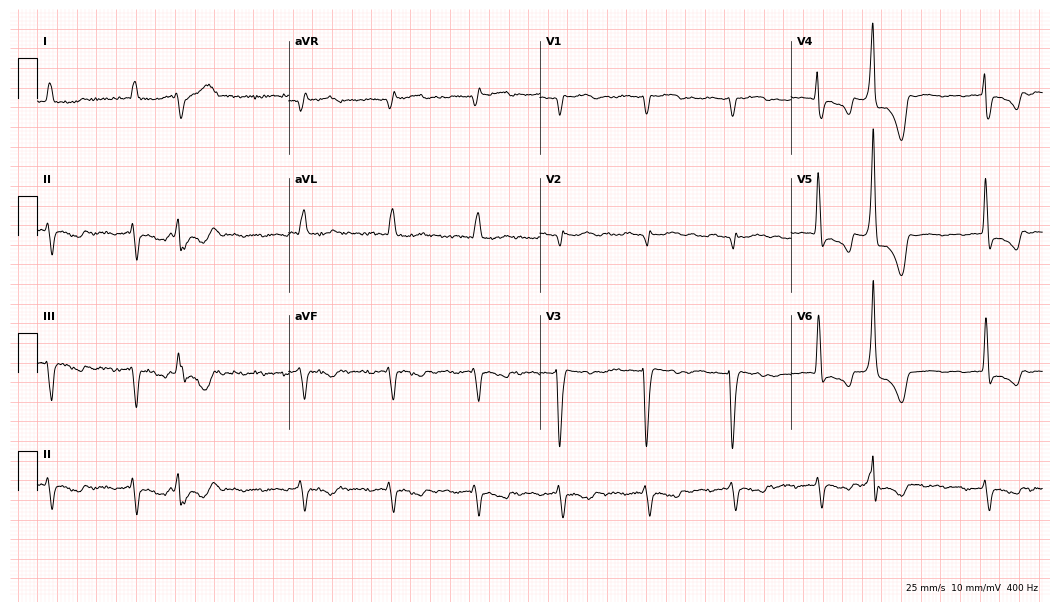
Electrocardiogram, a female, 74 years old. Of the six screened findings (first-degree AV block, right bundle branch block, left bundle branch block, sinus bradycardia, atrial fibrillation, sinus tachycardia), none is recorded.